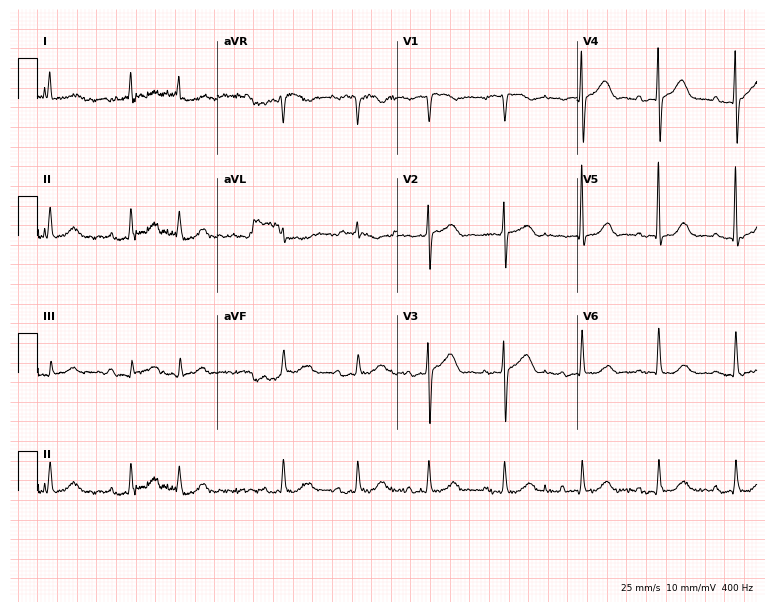
ECG — a 76-year-old man. Findings include first-degree AV block.